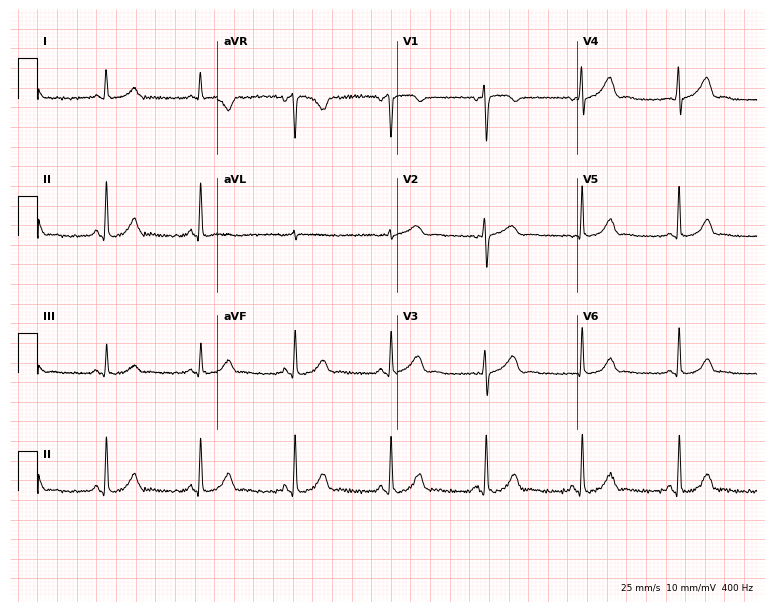
Standard 12-lead ECG recorded from a female patient, 38 years old. None of these six findings is recorded: first-degree AV block, right bundle branch block, left bundle branch block, sinus bradycardia, atrial fibrillation, sinus tachycardia.